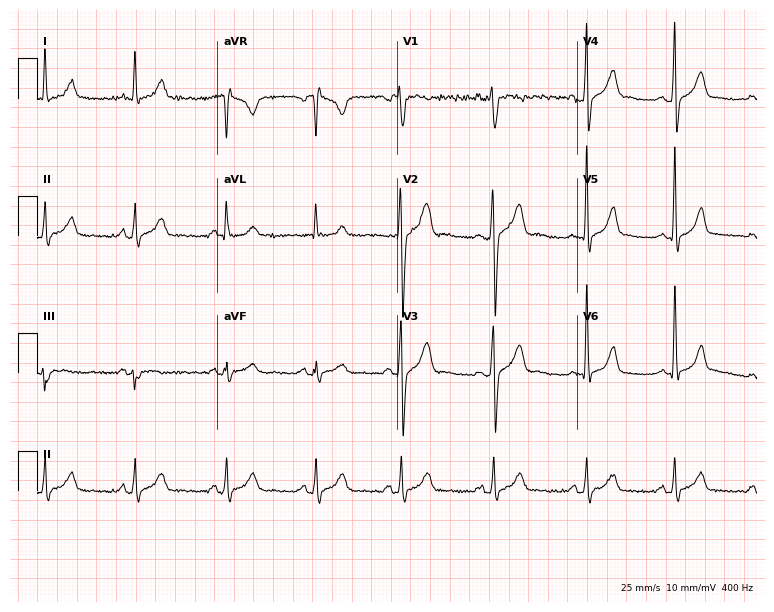
Electrocardiogram (7.3-second recording at 400 Hz), a male, 27 years old. Overall reading on record: normal ECG.